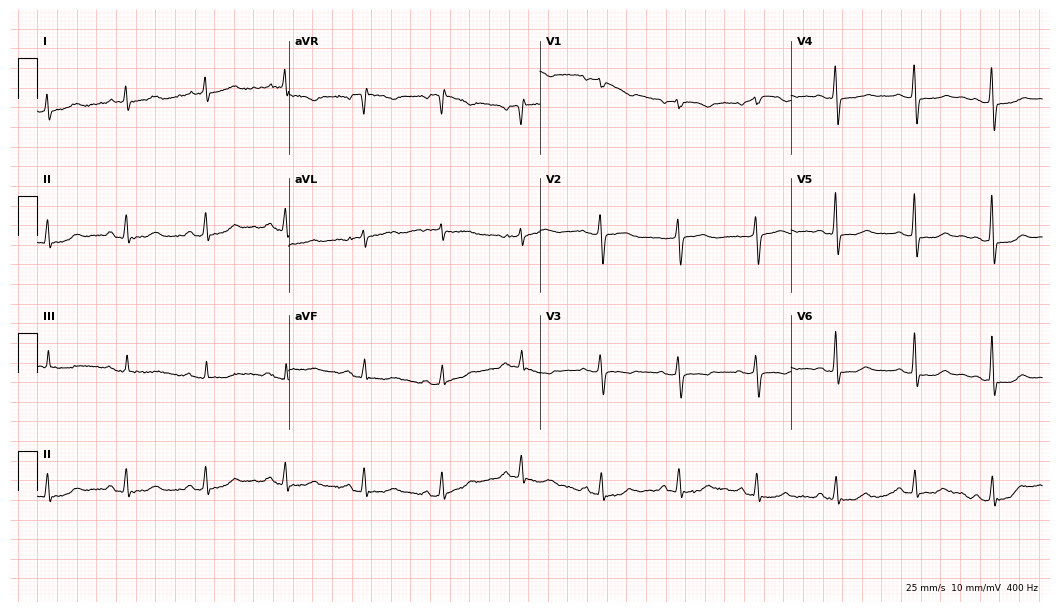
Electrocardiogram, a female patient, 69 years old. Of the six screened findings (first-degree AV block, right bundle branch block, left bundle branch block, sinus bradycardia, atrial fibrillation, sinus tachycardia), none is recorded.